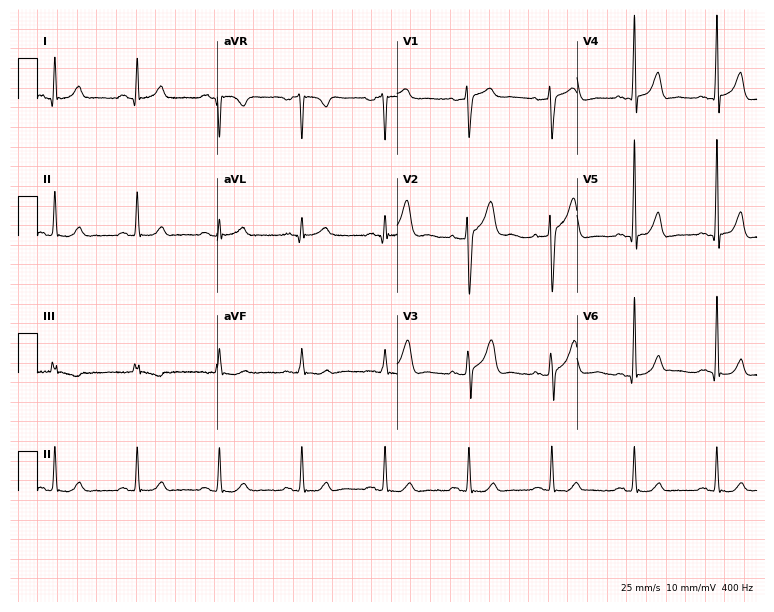
Electrocardiogram, a male, 42 years old. Of the six screened findings (first-degree AV block, right bundle branch block (RBBB), left bundle branch block (LBBB), sinus bradycardia, atrial fibrillation (AF), sinus tachycardia), none is recorded. Other findings, if any, are not listed.